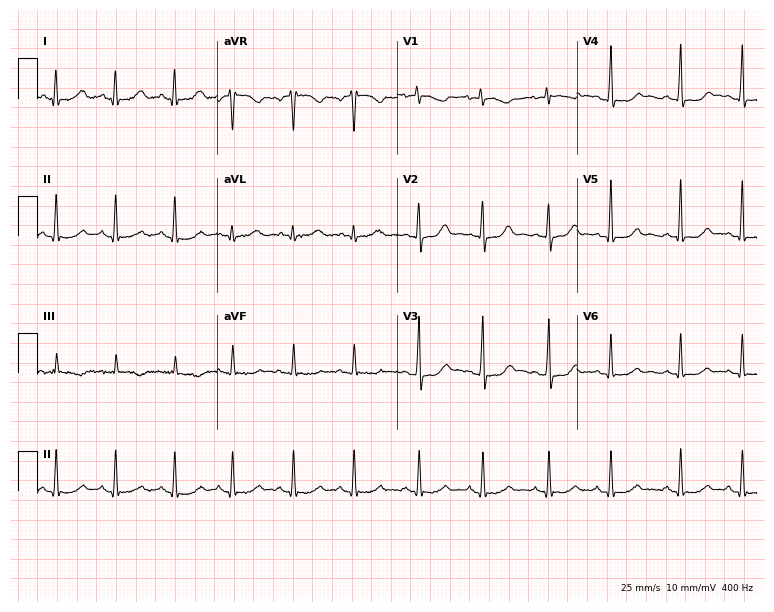
Resting 12-lead electrocardiogram (7.3-second recording at 400 Hz). Patient: a female, 55 years old. Read as a normal ECG.